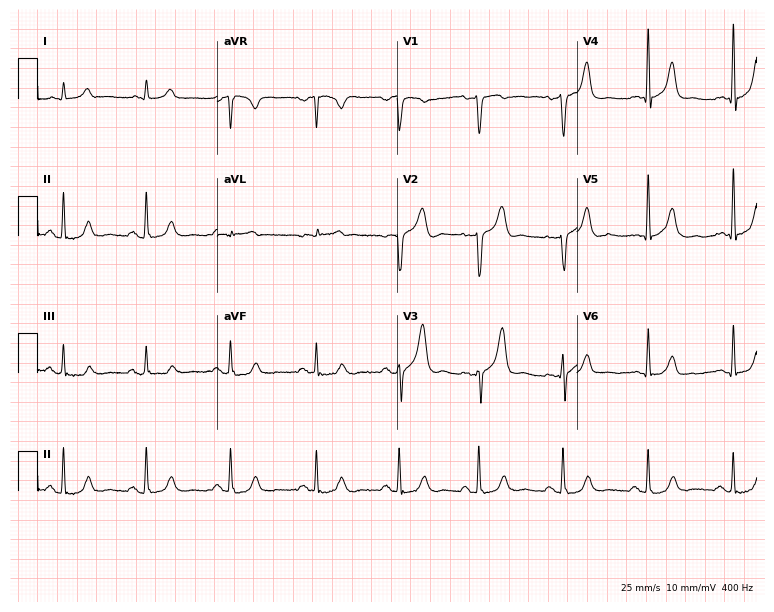
ECG (7.3-second recording at 400 Hz) — a male patient, 73 years old. Labelled as a normal ECG.